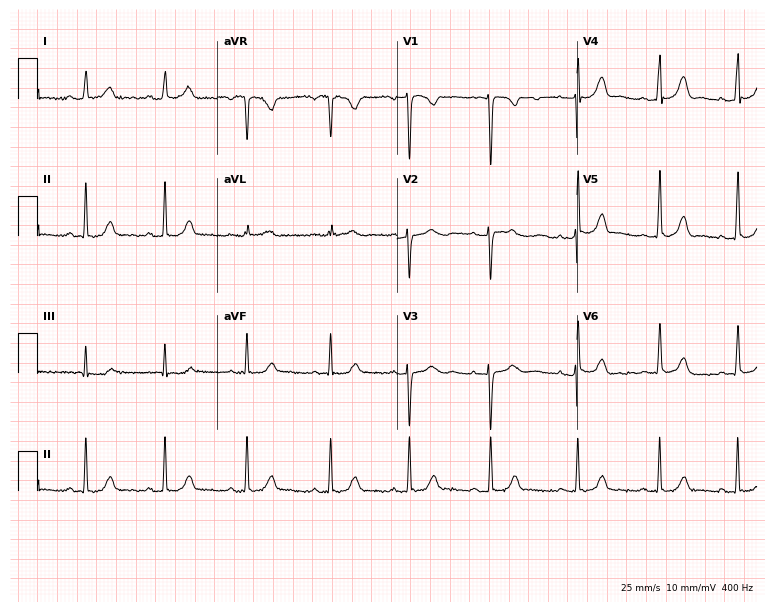
Electrocardiogram, a 36-year-old woman. Overall reading on record: normal ECG.